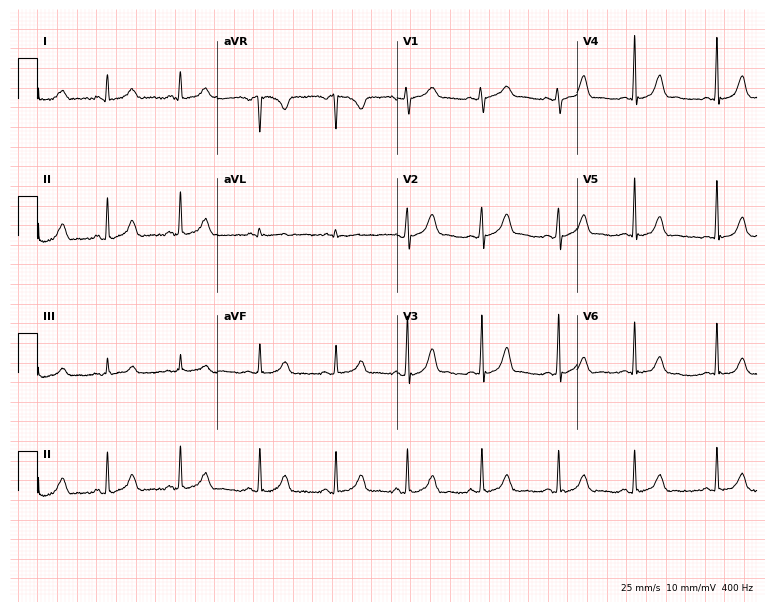
ECG (7.3-second recording at 400 Hz) — a woman, 25 years old. Labelled as a normal ECG.